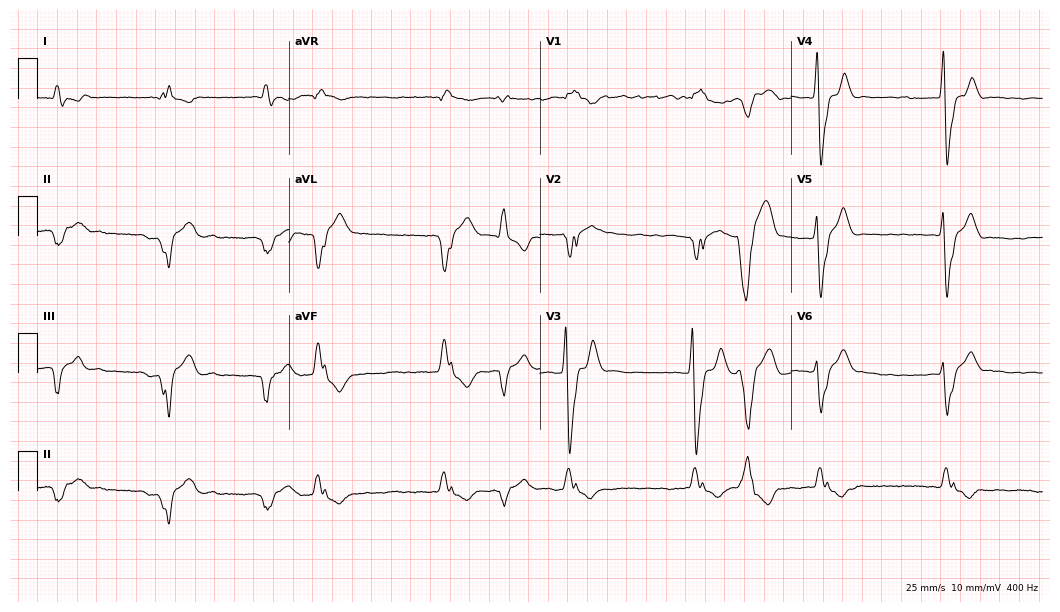
12-lead ECG (10.2-second recording at 400 Hz) from a 61-year-old female patient. Screened for six findings — first-degree AV block, right bundle branch block (RBBB), left bundle branch block (LBBB), sinus bradycardia, atrial fibrillation (AF), sinus tachycardia — none is recorded. Only these six findings were labelled.